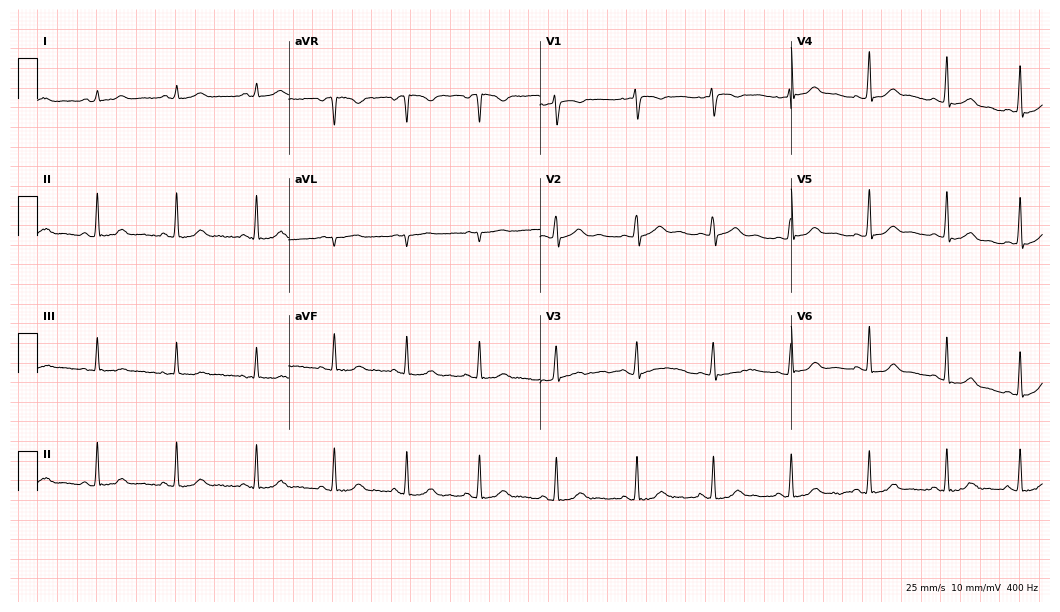
Standard 12-lead ECG recorded from a female, 24 years old (10.2-second recording at 400 Hz). Read as a normal ECG.